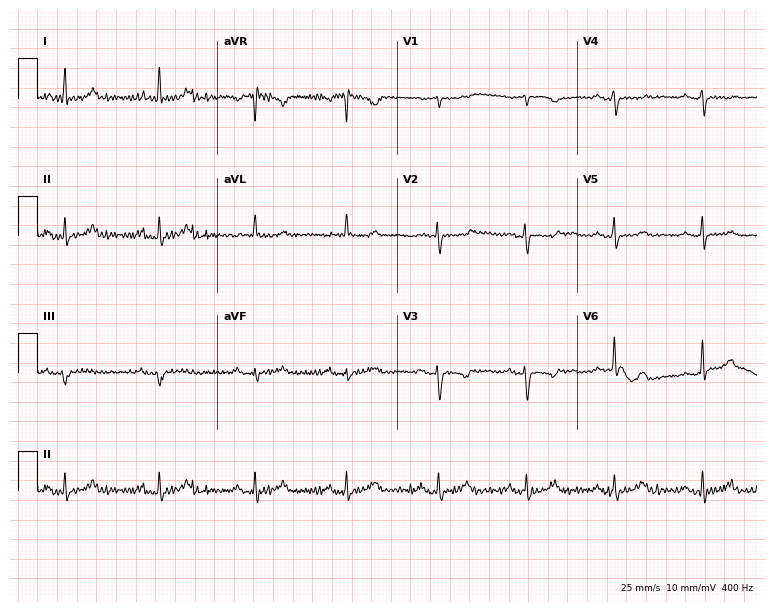
Electrocardiogram (7.3-second recording at 400 Hz), a woman, 45 years old. Of the six screened findings (first-degree AV block, right bundle branch block (RBBB), left bundle branch block (LBBB), sinus bradycardia, atrial fibrillation (AF), sinus tachycardia), none is recorded. Findings outside these six are not listed.